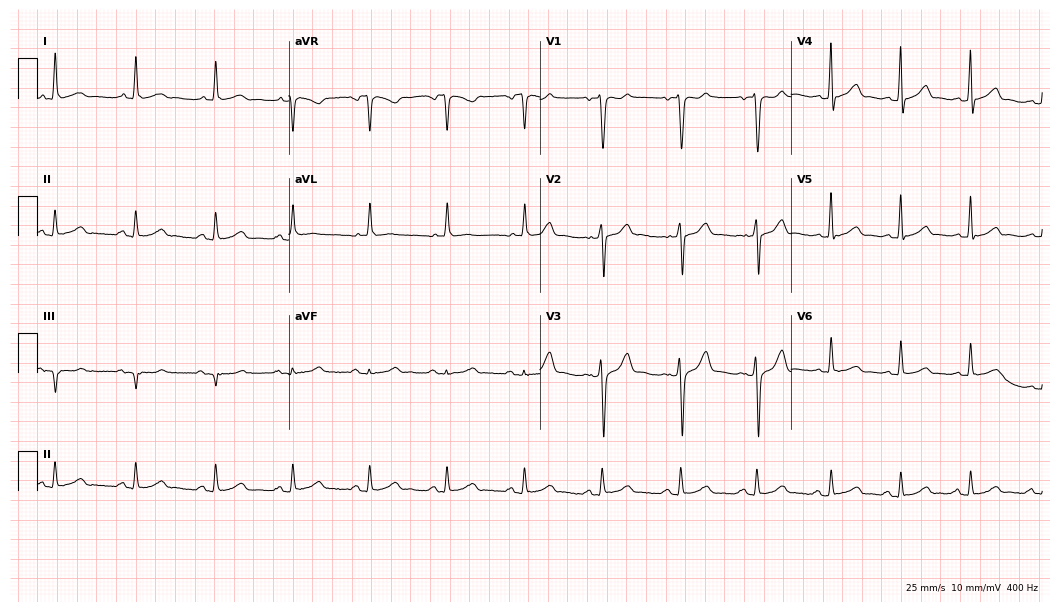
12-lead ECG (10.2-second recording at 400 Hz) from a 42-year-old male. Labelled as a normal ECG.